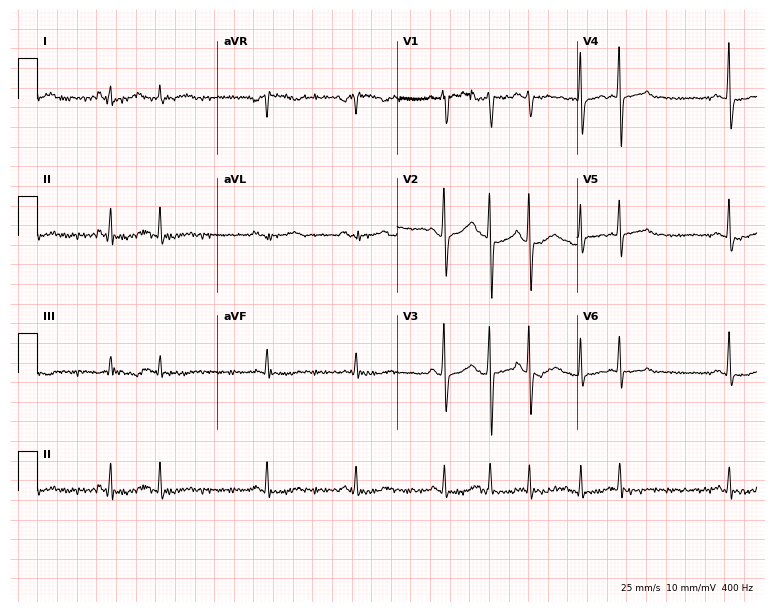
Resting 12-lead electrocardiogram. Patient: a male, 70 years old. None of these six findings is recorded: first-degree AV block, right bundle branch block (RBBB), left bundle branch block (LBBB), sinus bradycardia, atrial fibrillation (AF), sinus tachycardia.